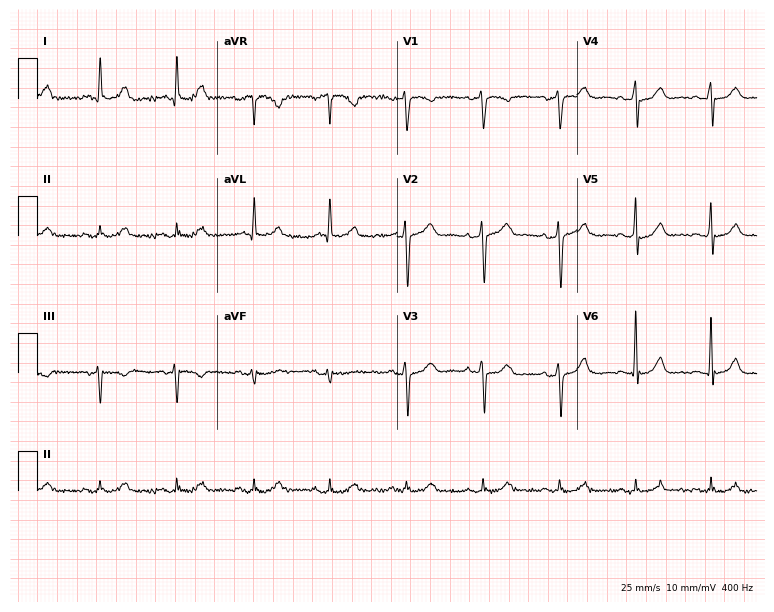
ECG (7.3-second recording at 400 Hz) — a 75-year-old man. Screened for six findings — first-degree AV block, right bundle branch block (RBBB), left bundle branch block (LBBB), sinus bradycardia, atrial fibrillation (AF), sinus tachycardia — none is recorded. Other findings, if any, are not listed.